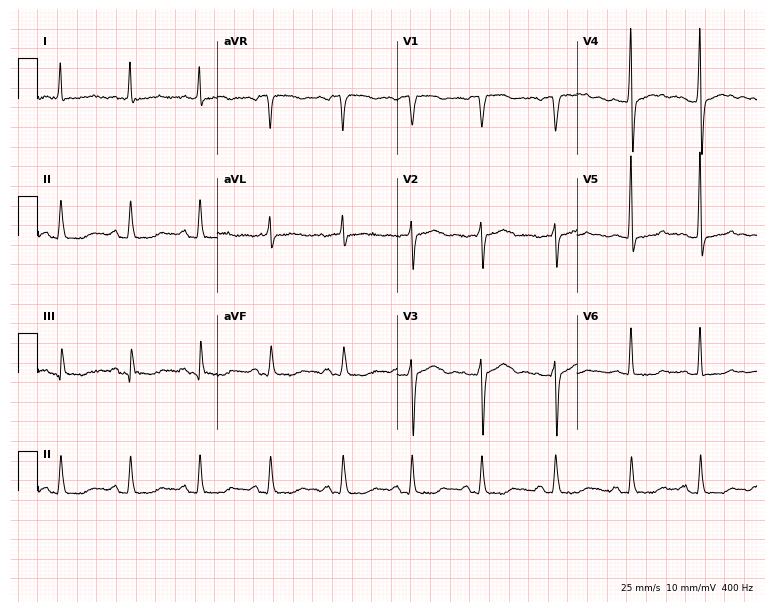
Standard 12-lead ECG recorded from a woman, 69 years old. Read as a normal ECG.